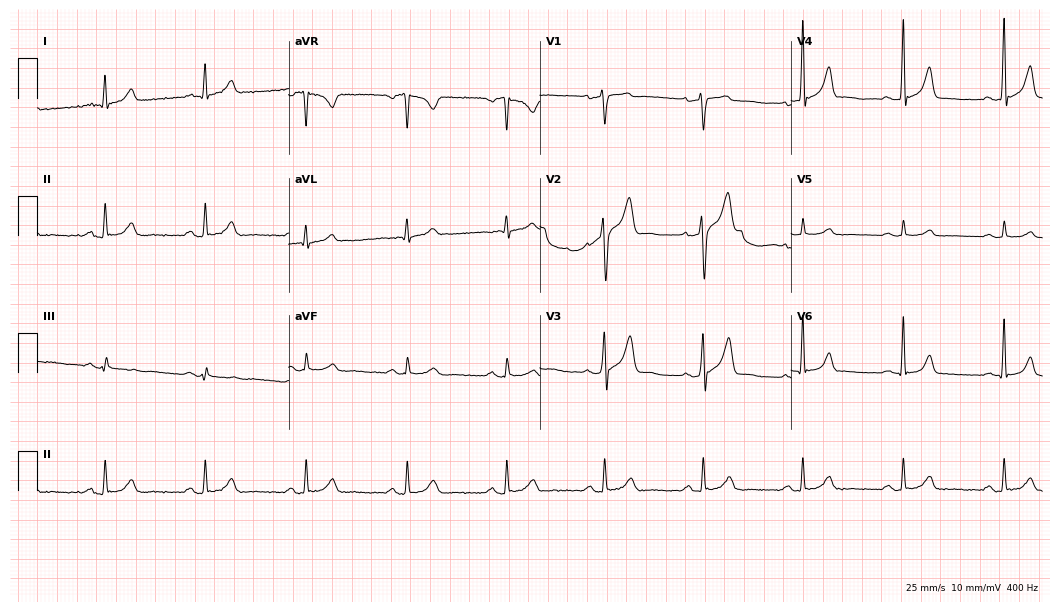
Resting 12-lead electrocardiogram (10.2-second recording at 400 Hz). Patient: a 56-year-old man. Read as a normal ECG.